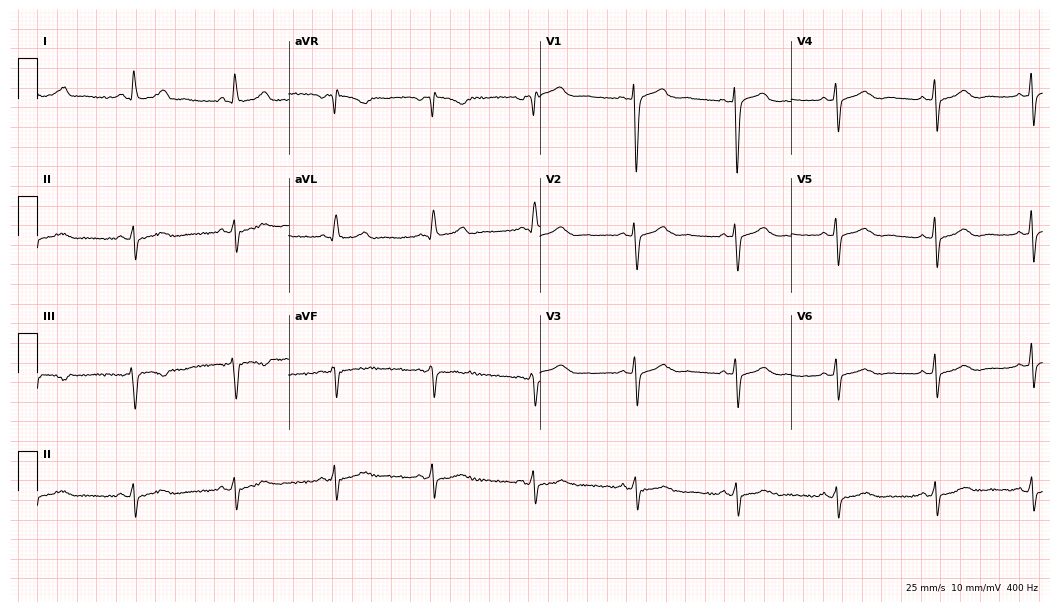
12-lead ECG from a female, 60 years old. No first-degree AV block, right bundle branch block (RBBB), left bundle branch block (LBBB), sinus bradycardia, atrial fibrillation (AF) or sinus tachycardia recorded for this tracing.